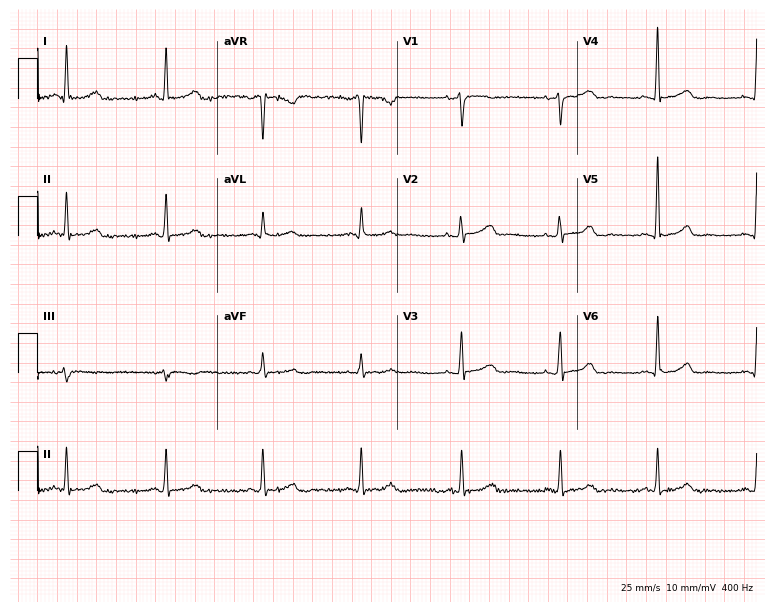
Standard 12-lead ECG recorded from a woman, 56 years old. Read as a normal ECG.